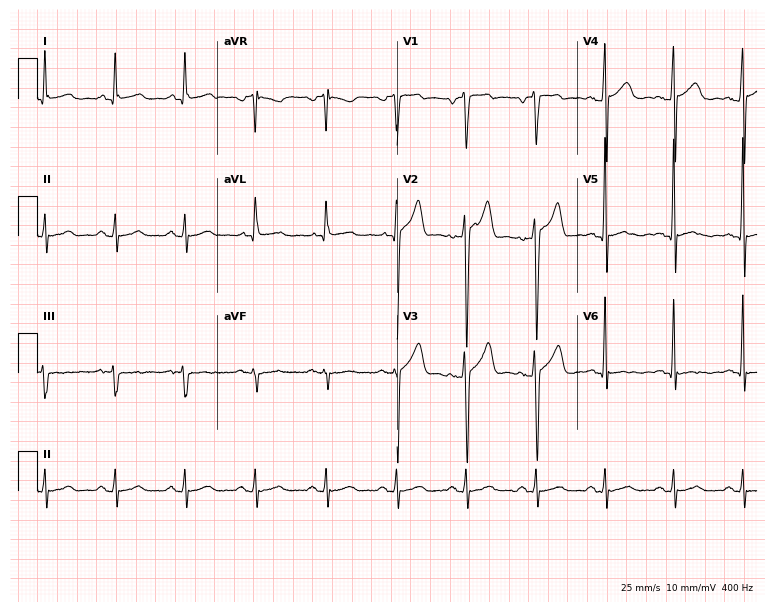
12-lead ECG from a man, 40 years old. No first-degree AV block, right bundle branch block, left bundle branch block, sinus bradycardia, atrial fibrillation or sinus tachycardia recorded for this tracing. Findings outside these six are not listed.